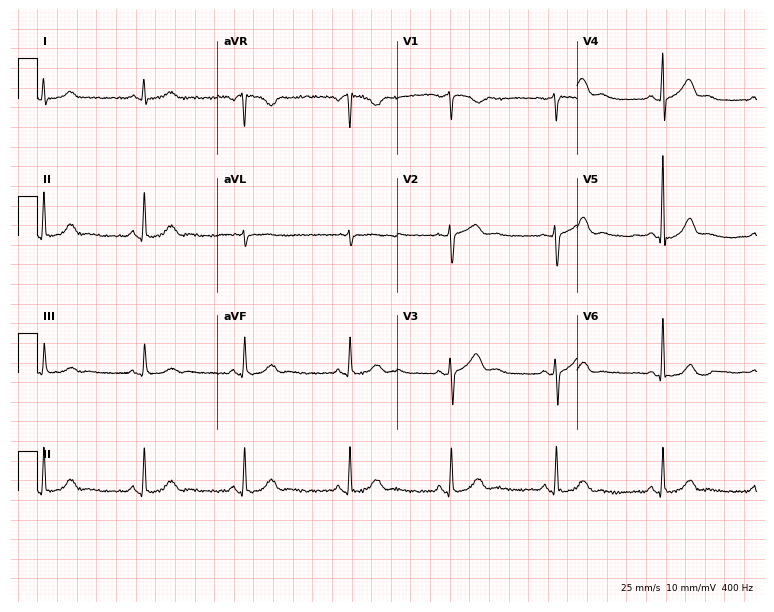
Electrocardiogram, a 42-year-old female. Overall reading on record: normal ECG.